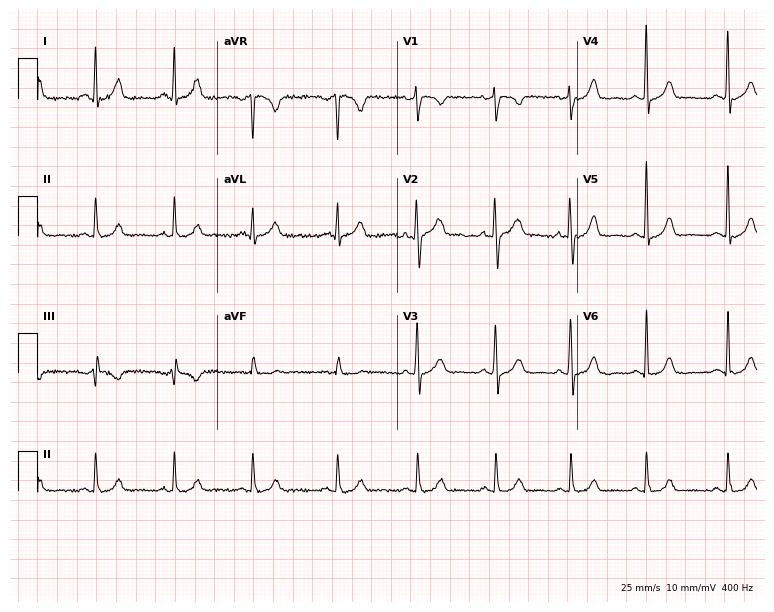
Electrocardiogram, a woman, 33 years old. Of the six screened findings (first-degree AV block, right bundle branch block (RBBB), left bundle branch block (LBBB), sinus bradycardia, atrial fibrillation (AF), sinus tachycardia), none is recorded. Findings outside these six are not listed.